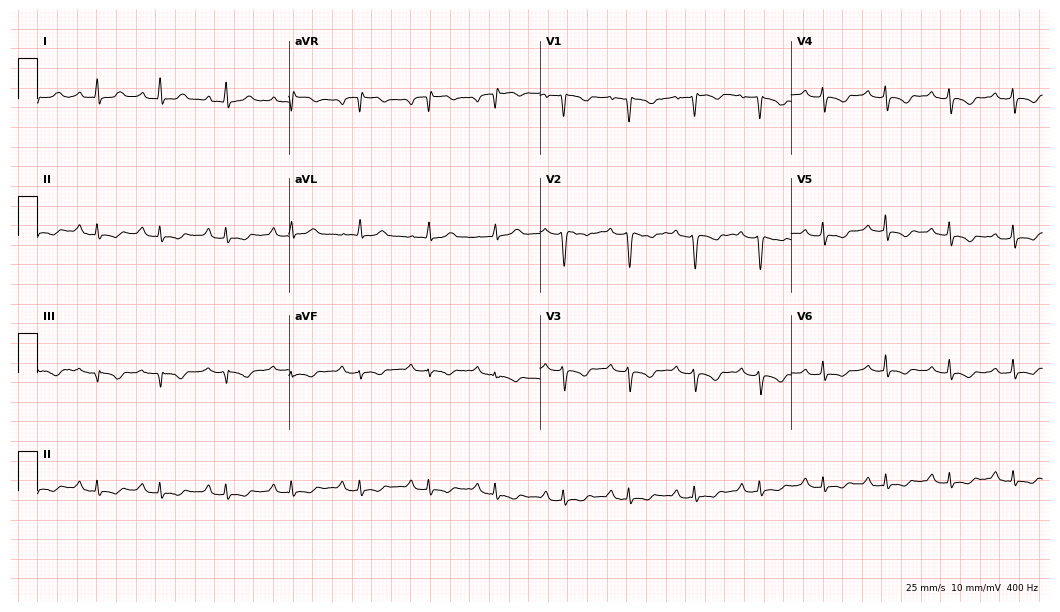
ECG — a 35-year-old woman. Screened for six findings — first-degree AV block, right bundle branch block, left bundle branch block, sinus bradycardia, atrial fibrillation, sinus tachycardia — none is recorded. Findings outside these six are not listed.